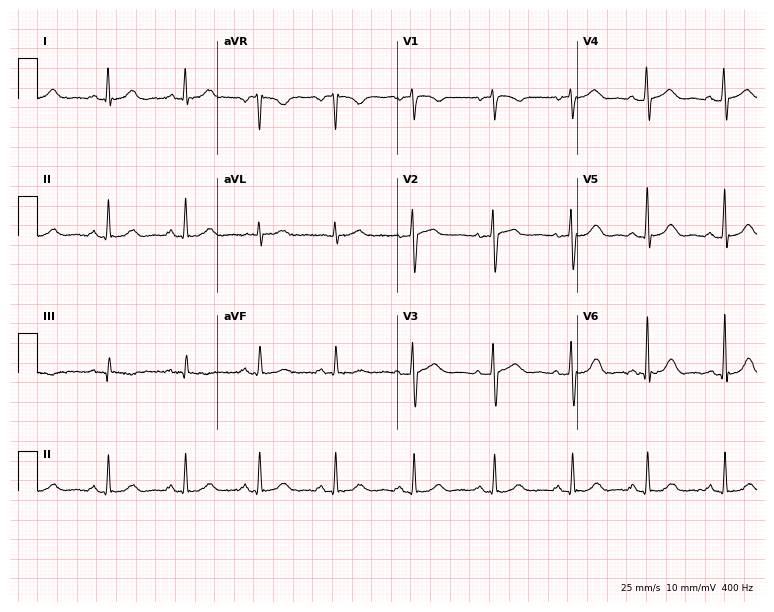
Standard 12-lead ECG recorded from a female patient, 58 years old. Read as a normal ECG.